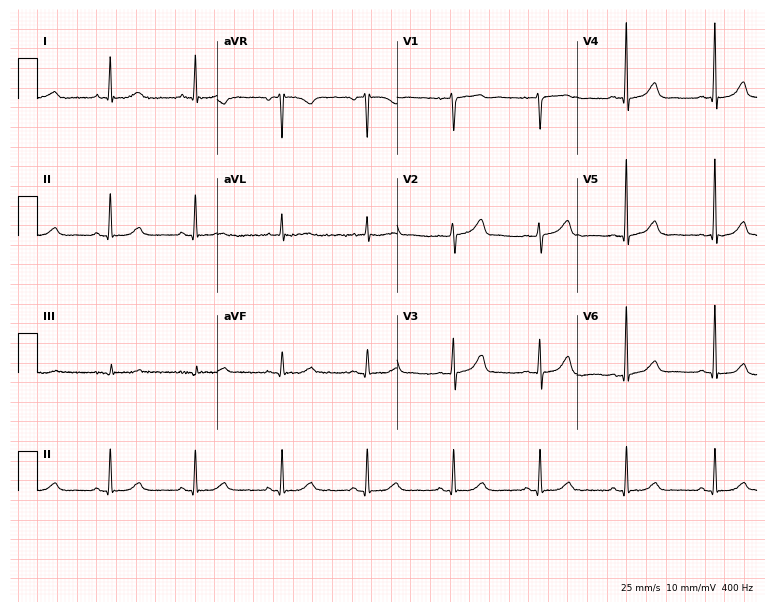
12-lead ECG from a woman, 79 years old (7.3-second recording at 400 Hz). Recorded interpretation: within normal limits.